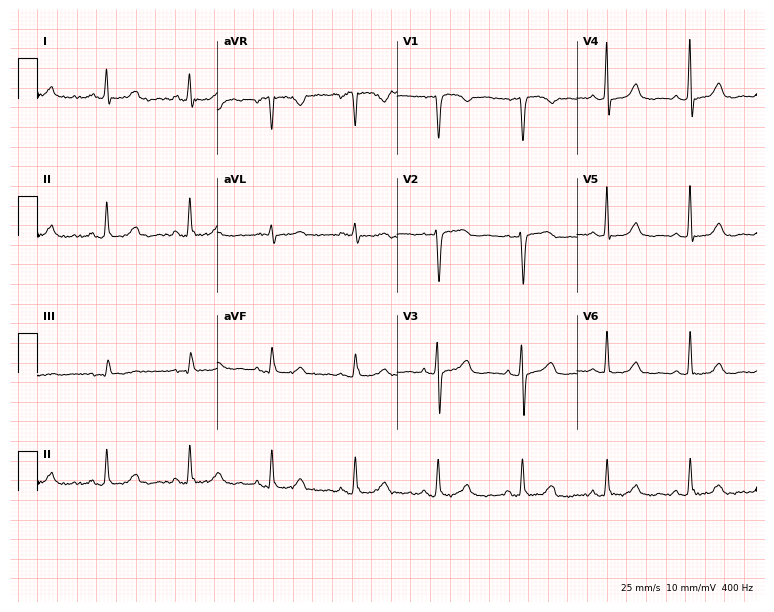
ECG — a female, 55 years old. Screened for six findings — first-degree AV block, right bundle branch block, left bundle branch block, sinus bradycardia, atrial fibrillation, sinus tachycardia — none is recorded.